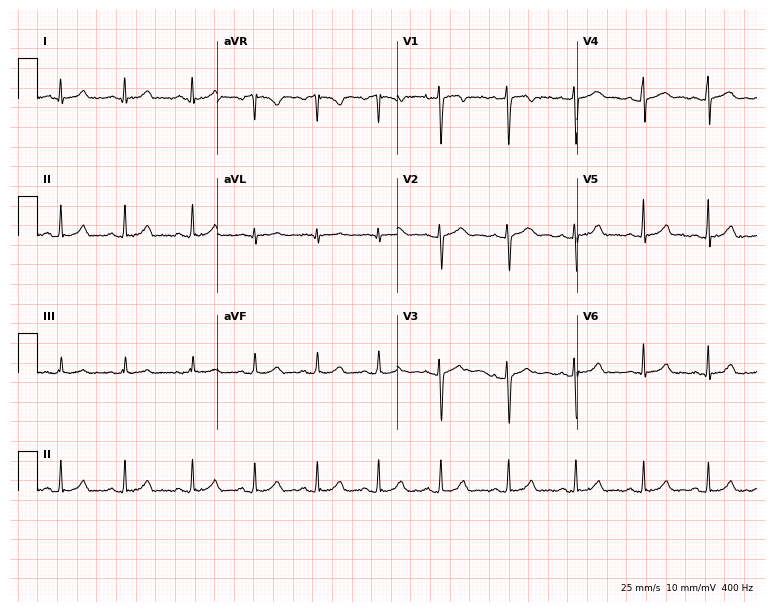
Resting 12-lead electrocardiogram. Patient: a 21-year-old female. Read as a normal ECG.